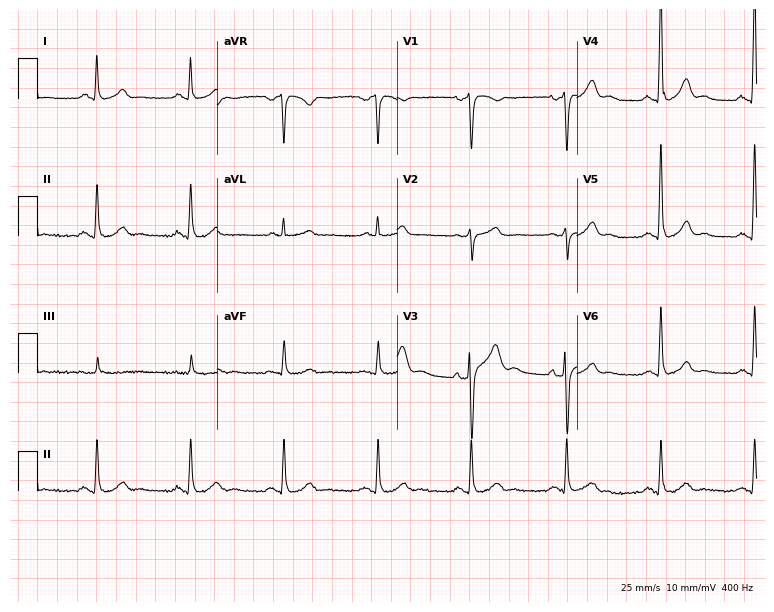
ECG (7.3-second recording at 400 Hz) — a 66-year-old male. Labelled as a normal ECG.